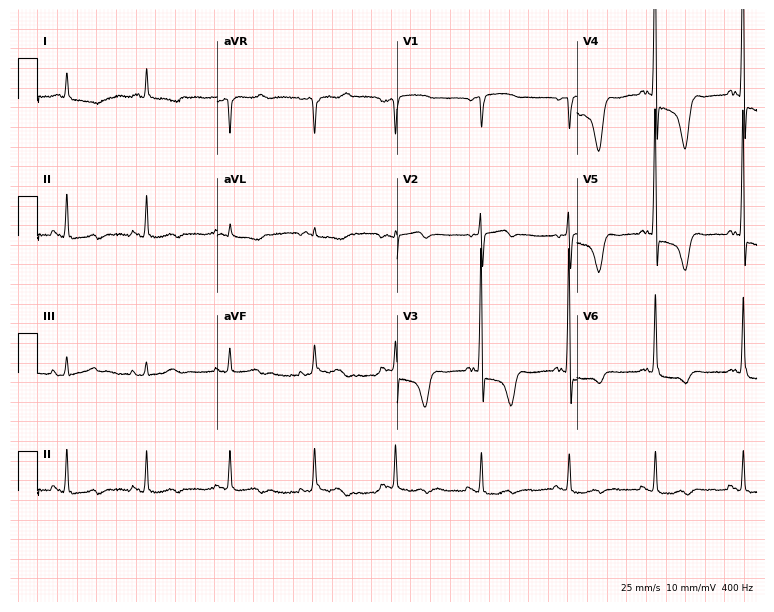
ECG — a male, 78 years old. Screened for six findings — first-degree AV block, right bundle branch block (RBBB), left bundle branch block (LBBB), sinus bradycardia, atrial fibrillation (AF), sinus tachycardia — none is recorded.